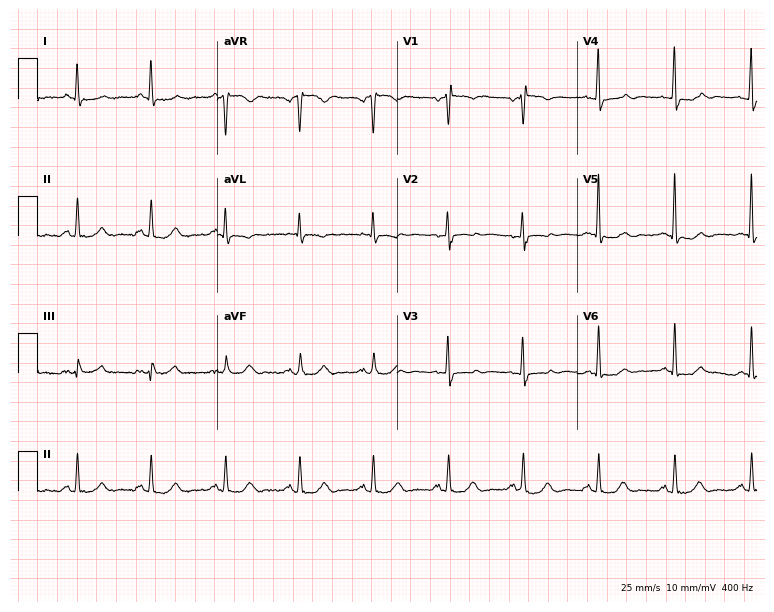
Electrocardiogram (7.3-second recording at 400 Hz), a 62-year-old female. Of the six screened findings (first-degree AV block, right bundle branch block, left bundle branch block, sinus bradycardia, atrial fibrillation, sinus tachycardia), none is recorded.